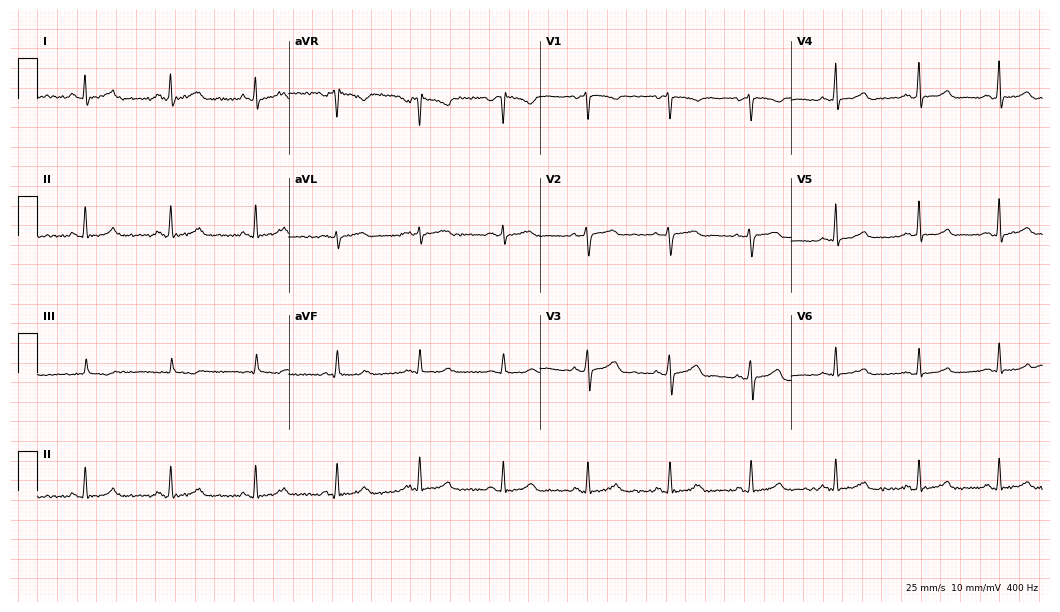
Electrocardiogram (10.2-second recording at 400 Hz), a female patient, 45 years old. Overall reading on record: normal ECG.